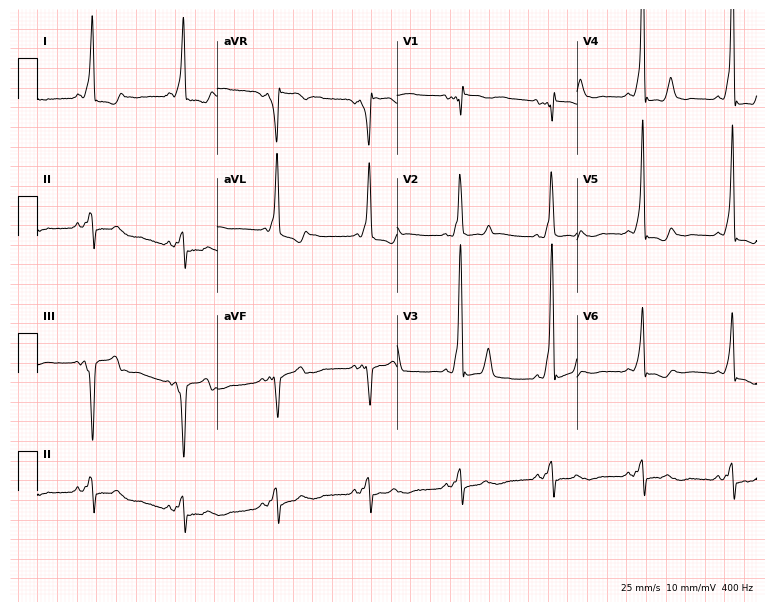
Standard 12-lead ECG recorded from a 34-year-old man. None of these six findings is recorded: first-degree AV block, right bundle branch block (RBBB), left bundle branch block (LBBB), sinus bradycardia, atrial fibrillation (AF), sinus tachycardia.